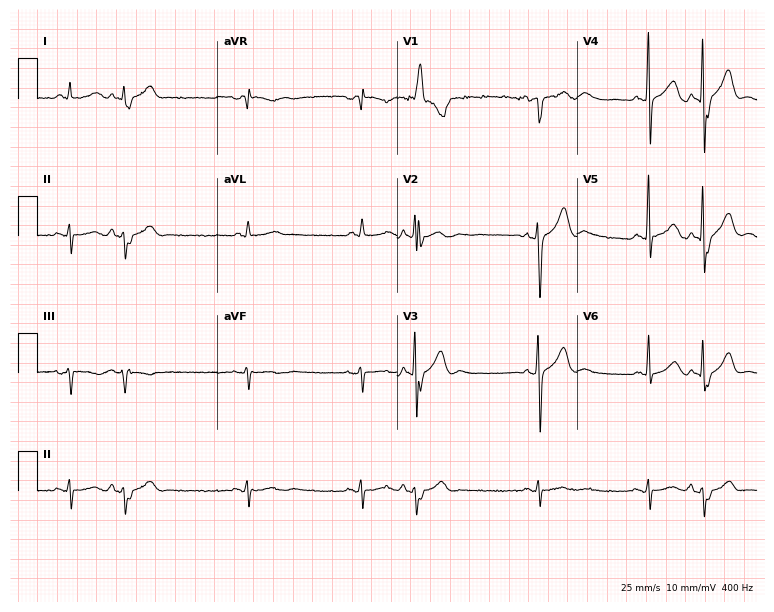
12-lead ECG from a 75-year-old male. Screened for six findings — first-degree AV block, right bundle branch block, left bundle branch block, sinus bradycardia, atrial fibrillation, sinus tachycardia — none is recorded. Findings outside these six are not listed.